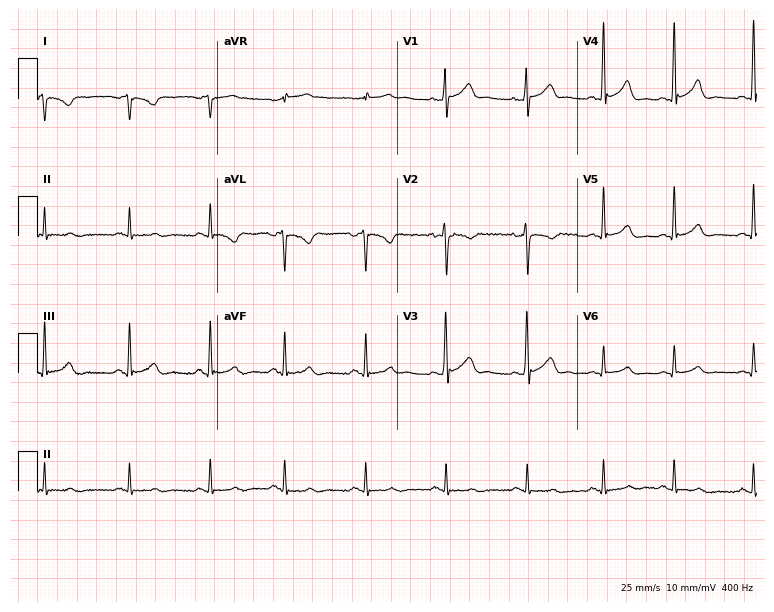
12-lead ECG from a male patient, 23 years old. Screened for six findings — first-degree AV block, right bundle branch block (RBBB), left bundle branch block (LBBB), sinus bradycardia, atrial fibrillation (AF), sinus tachycardia — none is recorded. Findings outside these six are not listed.